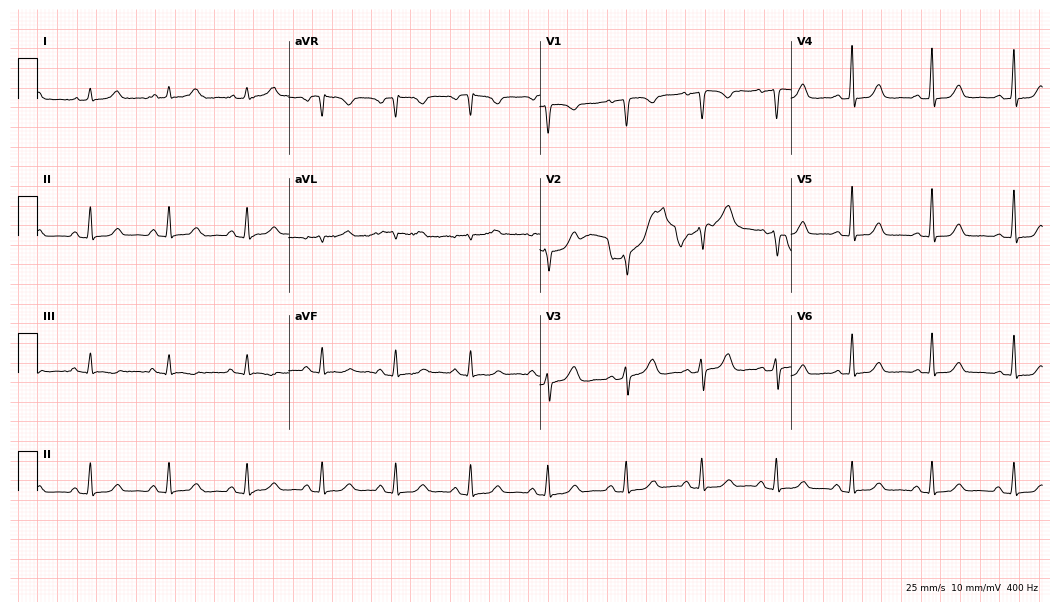
12-lead ECG from a female, 46 years old. Recorded interpretation: within normal limits.